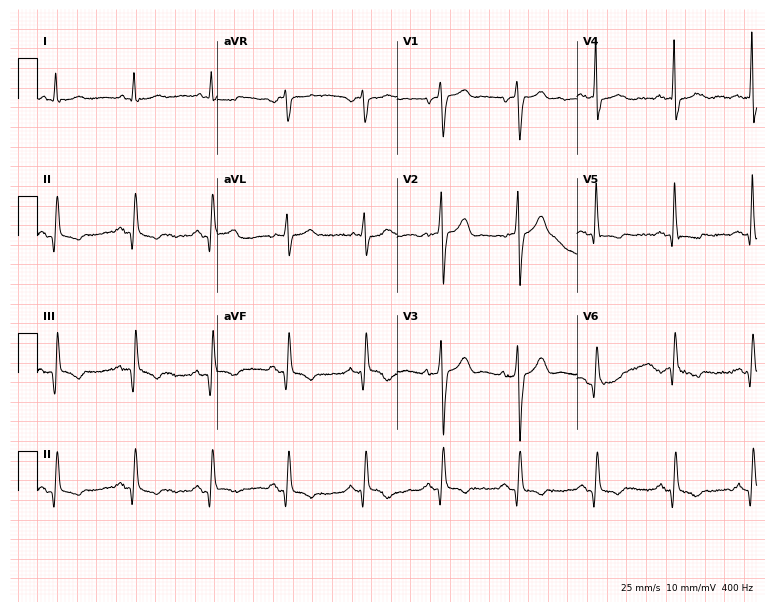
12-lead ECG from a man, 76 years old (7.3-second recording at 400 Hz). No first-degree AV block, right bundle branch block, left bundle branch block, sinus bradycardia, atrial fibrillation or sinus tachycardia recorded for this tracing. Only these six findings were labelled.